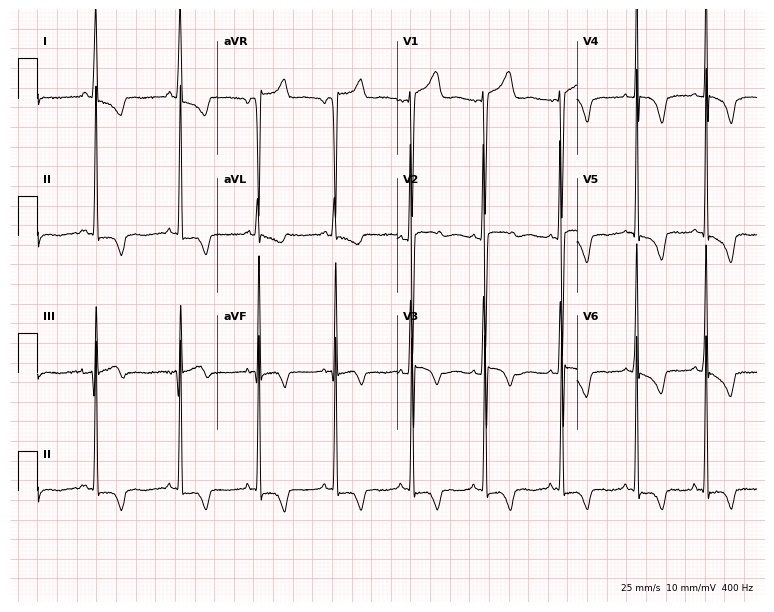
Standard 12-lead ECG recorded from a female, 20 years old (7.3-second recording at 400 Hz). None of these six findings is recorded: first-degree AV block, right bundle branch block (RBBB), left bundle branch block (LBBB), sinus bradycardia, atrial fibrillation (AF), sinus tachycardia.